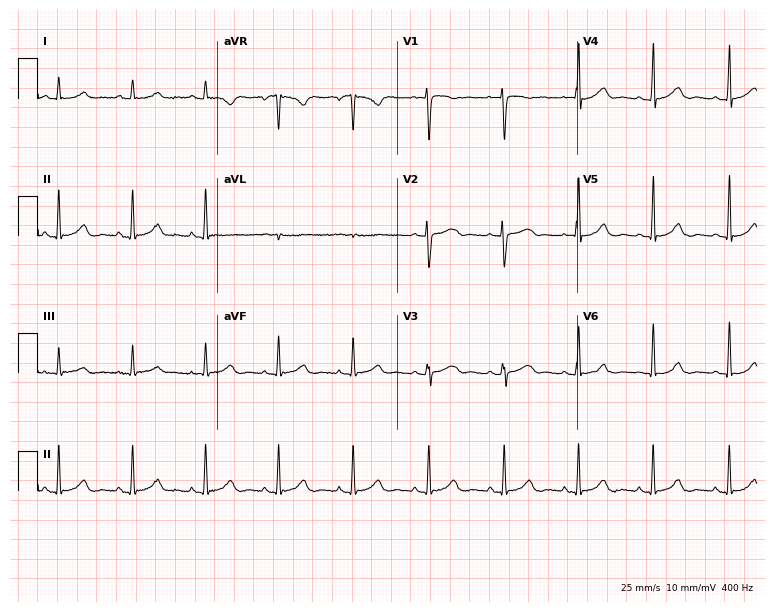
Standard 12-lead ECG recorded from a 36-year-old woman (7.3-second recording at 400 Hz). Read as a normal ECG.